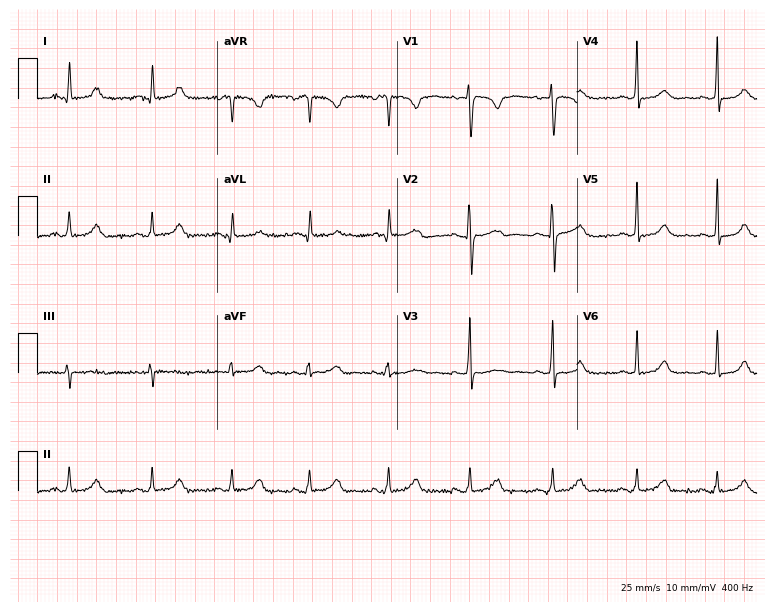
12-lead ECG from a woman, 31 years old. No first-degree AV block, right bundle branch block (RBBB), left bundle branch block (LBBB), sinus bradycardia, atrial fibrillation (AF) or sinus tachycardia recorded for this tracing. Only these six findings were labelled.